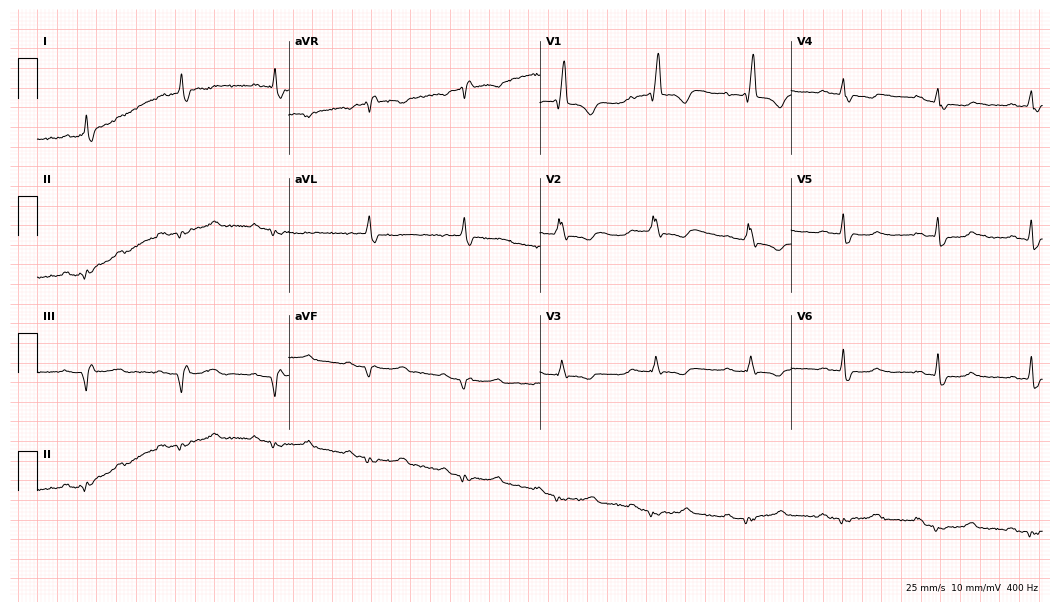
Standard 12-lead ECG recorded from a male, 77 years old. The tracing shows right bundle branch block (RBBB).